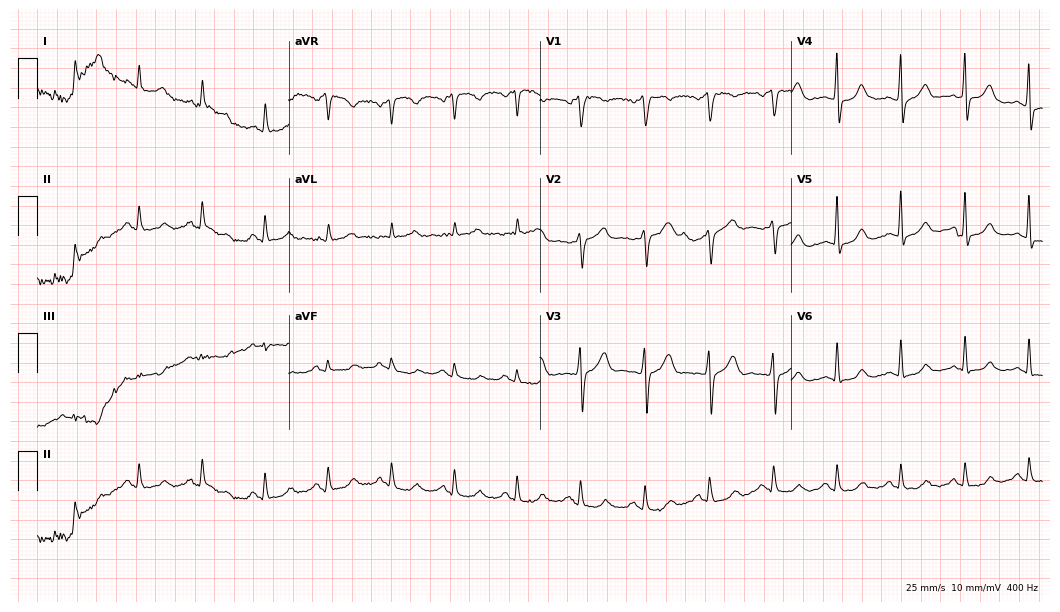
Electrocardiogram, a male patient, 61 years old. Overall reading on record: normal ECG.